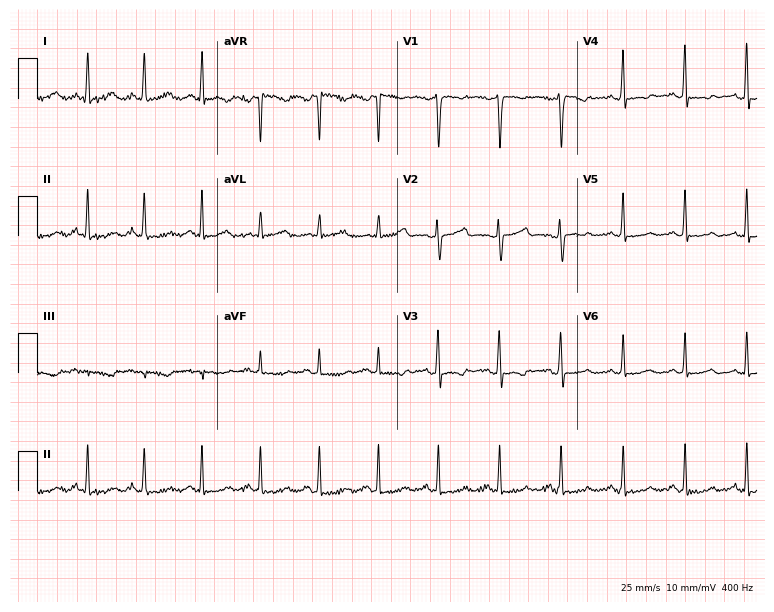
12-lead ECG from a female, 36 years old (7.3-second recording at 400 Hz). No first-degree AV block, right bundle branch block (RBBB), left bundle branch block (LBBB), sinus bradycardia, atrial fibrillation (AF) or sinus tachycardia recorded for this tracing.